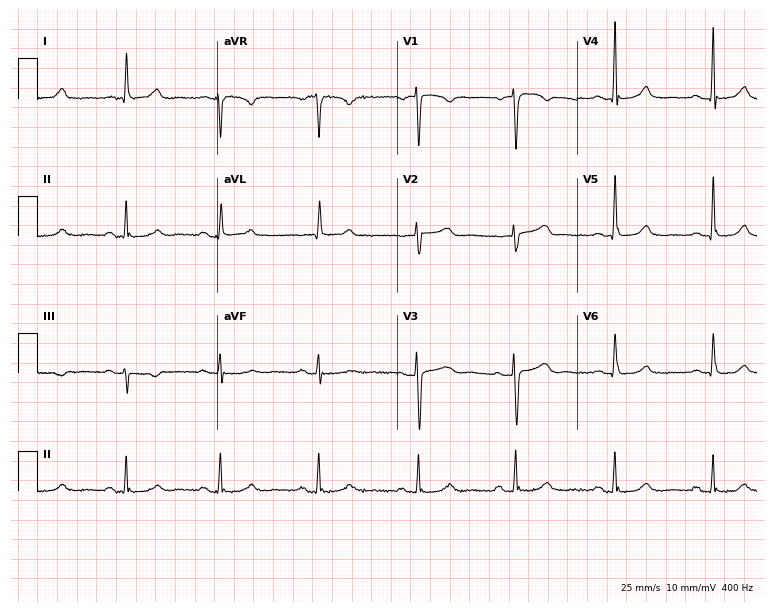
12-lead ECG from a female patient, 72 years old (7.3-second recording at 400 Hz). No first-degree AV block, right bundle branch block (RBBB), left bundle branch block (LBBB), sinus bradycardia, atrial fibrillation (AF) or sinus tachycardia recorded for this tracing.